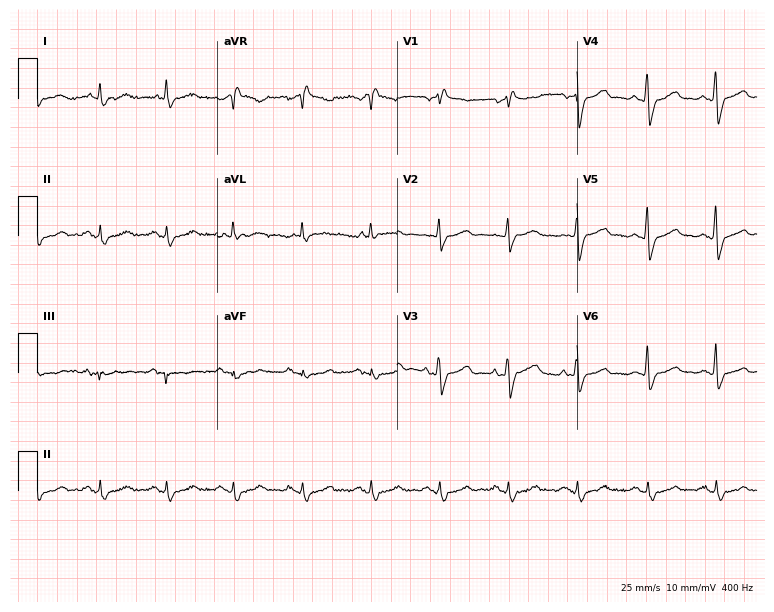
12-lead ECG from a male, 74 years old. No first-degree AV block, right bundle branch block (RBBB), left bundle branch block (LBBB), sinus bradycardia, atrial fibrillation (AF) or sinus tachycardia recorded for this tracing.